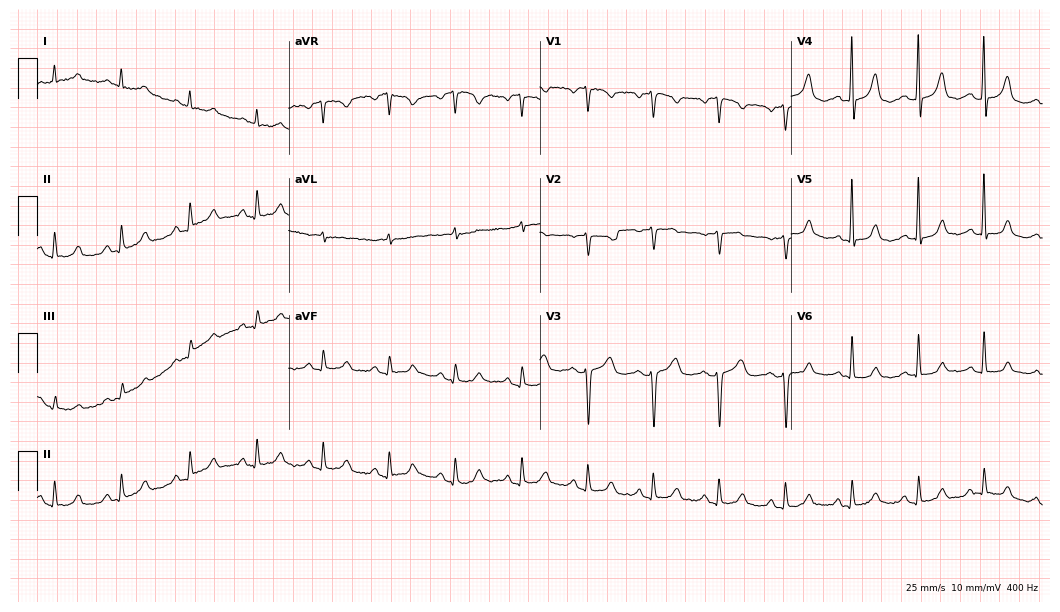
Resting 12-lead electrocardiogram (10.2-second recording at 400 Hz). Patient: a 56-year-old female. None of these six findings is recorded: first-degree AV block, right bundle branch block (RBBB), left bundle branch block (LBBB), sinus bradycardia, atrial fibrillation (AF), sinus tachycardia.